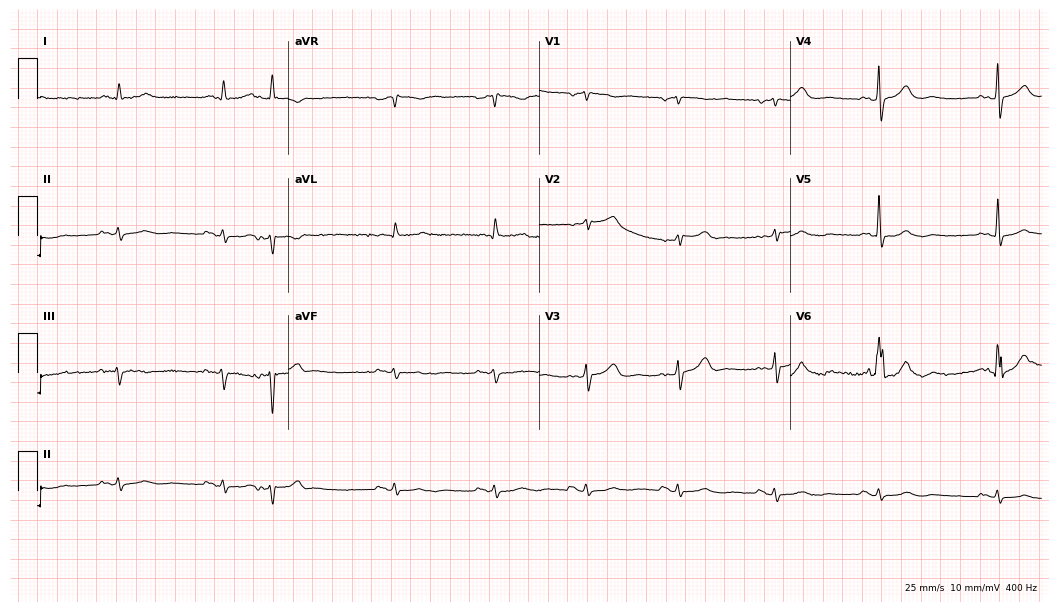
ECG — a male patient, 62 years old. Screened for six findings — first-degree AV block, right bundle branch block, left bundle branch block, sinus bradycardia, atrial fibrillation, sinus tachycardia — none is recorded.